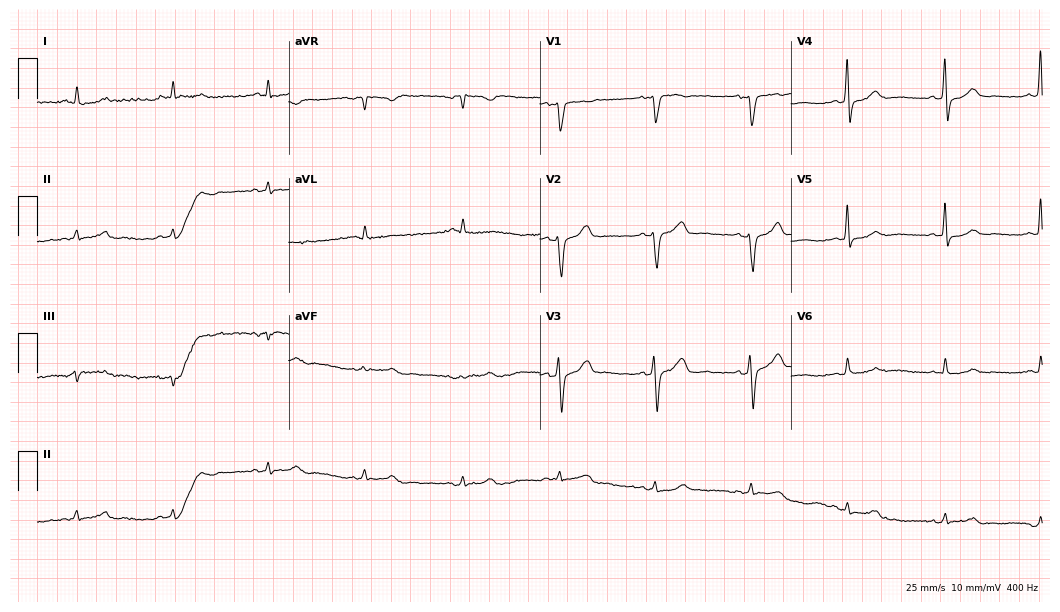
12-lead ECG from a 62-year-old male (10.2-second recording at 400 Hz). Recorded interpretation: within normal limits.